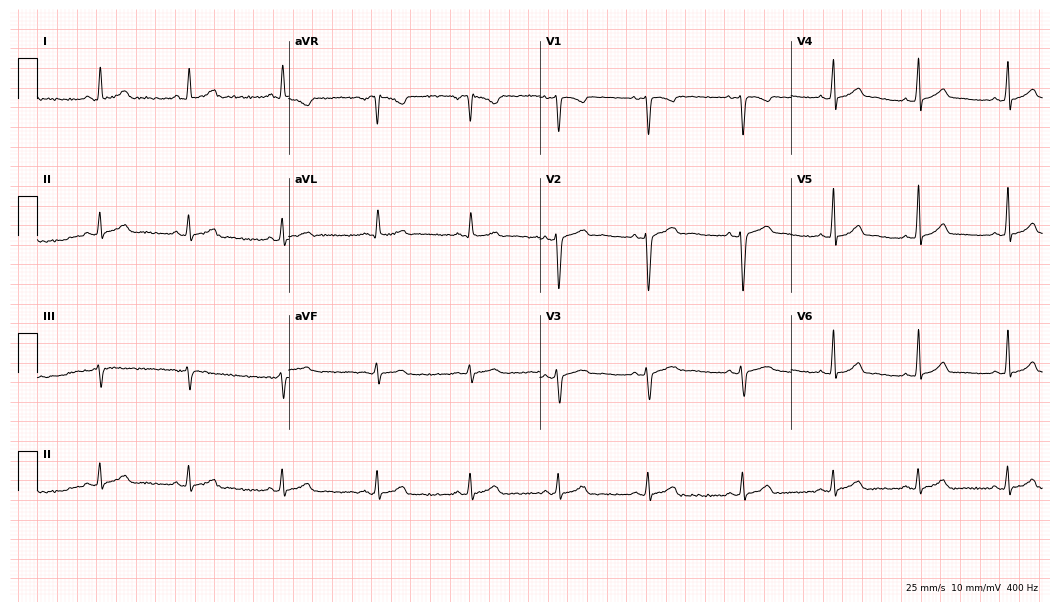
12-lead ECG from a woman, 35 years old. Labelled as a normal ECG.